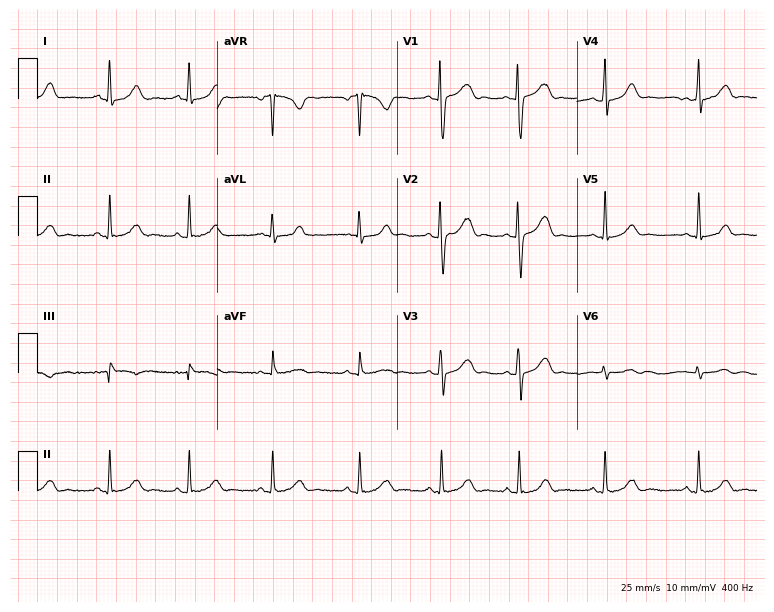
Standard 12-lead ECG recorded from a woman, 18 years old (7.3-second recording at 400 Hz). Read as a normal ECG.